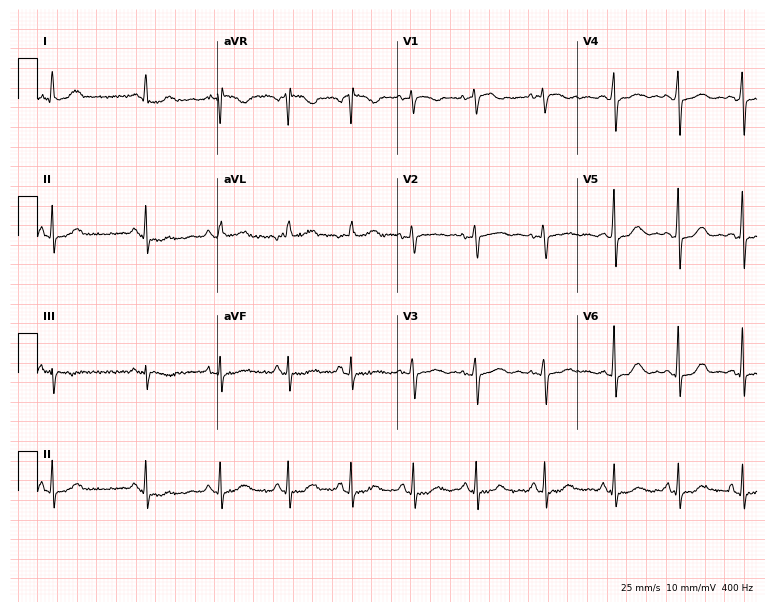
Standard 12-lead ECG recorded from a 51-year-old female patient (7.3-second recording at 400 Hz). Read as a normal ECG.